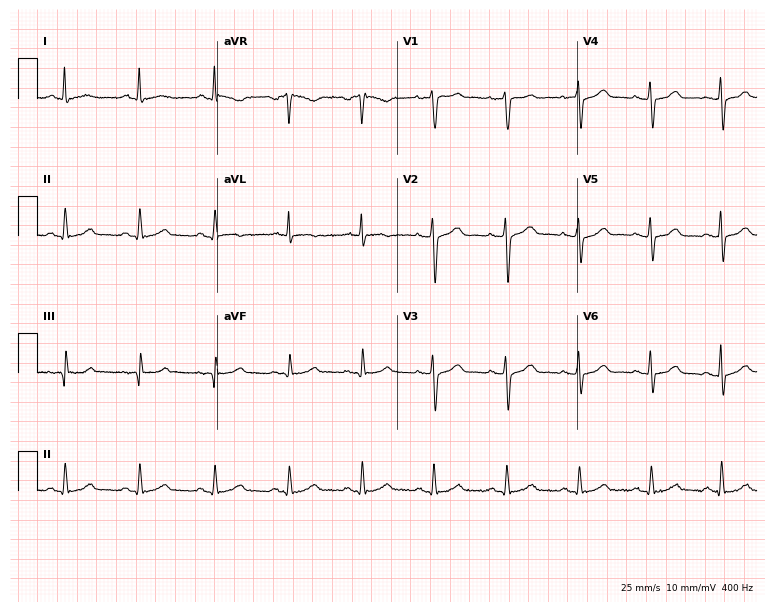
12-lead ECG from a female, 56 years old (7.3-second recording at 400 Hz). No first-degree AV block, right bundle branch block, left bundle branch block, sinus bradycardia, atrial fibrillation or sinus tachycardia recorded for this tracing.